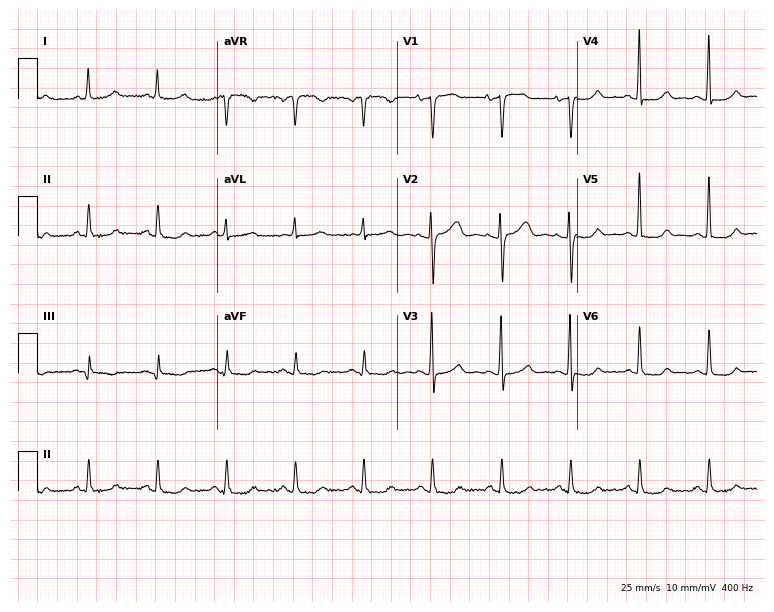
ECG — a female patient, 83 years old. Screened for six findings — first-degree AV block, right bundle branch block (RBBB), left bundle branch block (LBBB), sinus bradycardia, atrial fibrillation (AF), sinus tachycardia — none is recorded. Other findings, if any, are not listed.